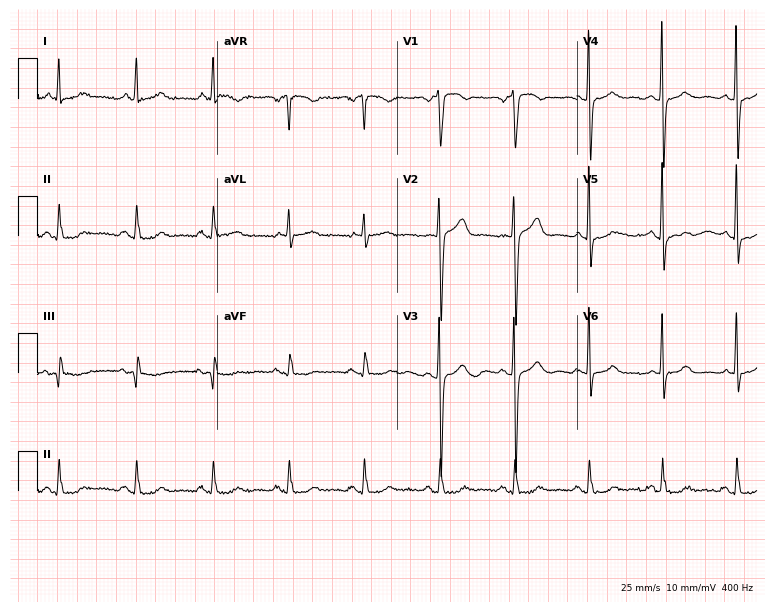
12-lead ECG (7.3-second recording at 400 Hz) from a woman, 70 years old. Screened for six findings — first-degree AV block, right bundle branch block, left bundle branch block, sinus bradycardia, atrial fibrillation, sinus tachycardia — none is recorded.